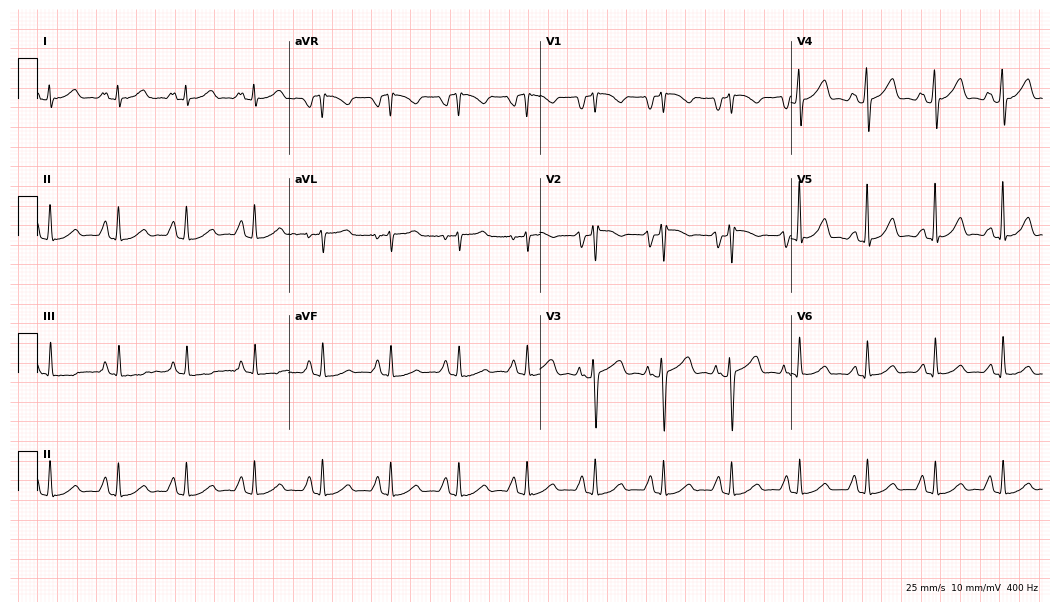
Resting 12-lead electrocardiogram. Patient: a 23-year-old woman. None of these six findings is recorded: first-degree AV block, right bundle branch block, left bundle branch block, sinus bradycardia, atrial fibrillation, sinus tachycardia.